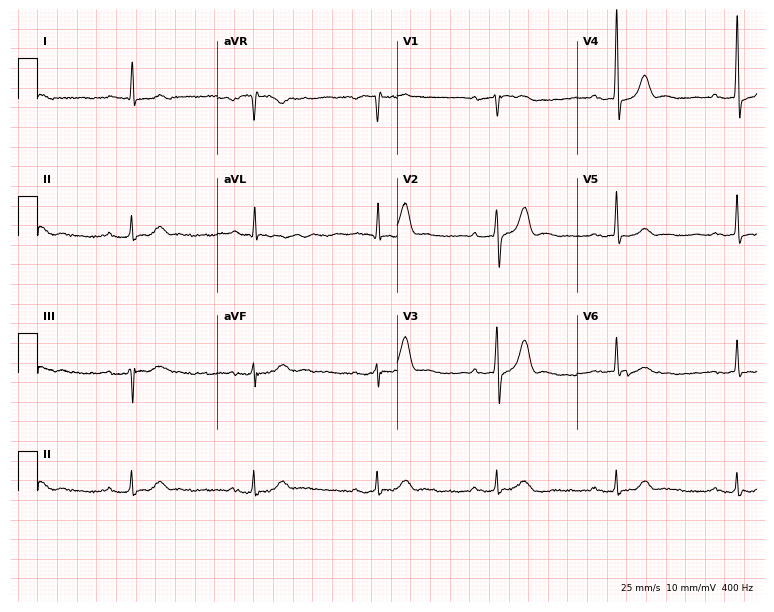
ECG (7.3-second recording at 400 Hz) — a 79-year-old male patient. Findings include first-degree AV block.